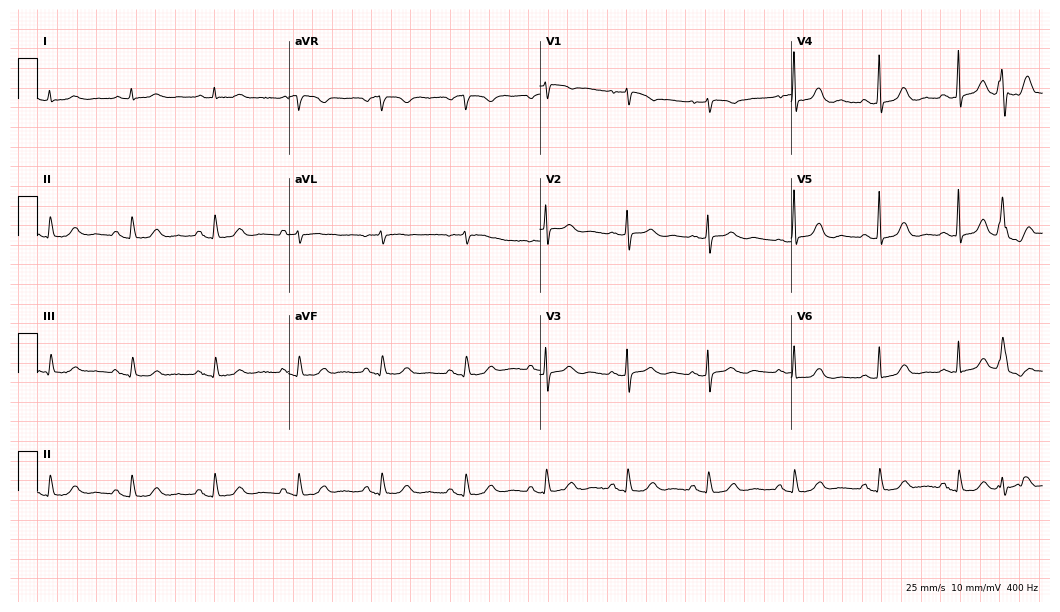
Resting 12-lead electrocardiogram. Patient: a woman, 83 years old. Read as a normal ECG.